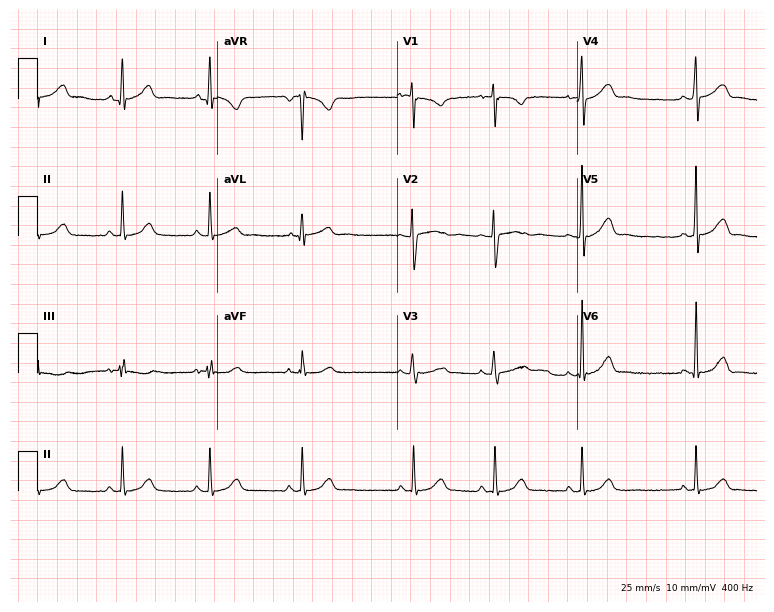
Electrocardiogram (7.3-second recording at 400 Hz), a woman, 19 years old. Overall reading on record: normal ECG.